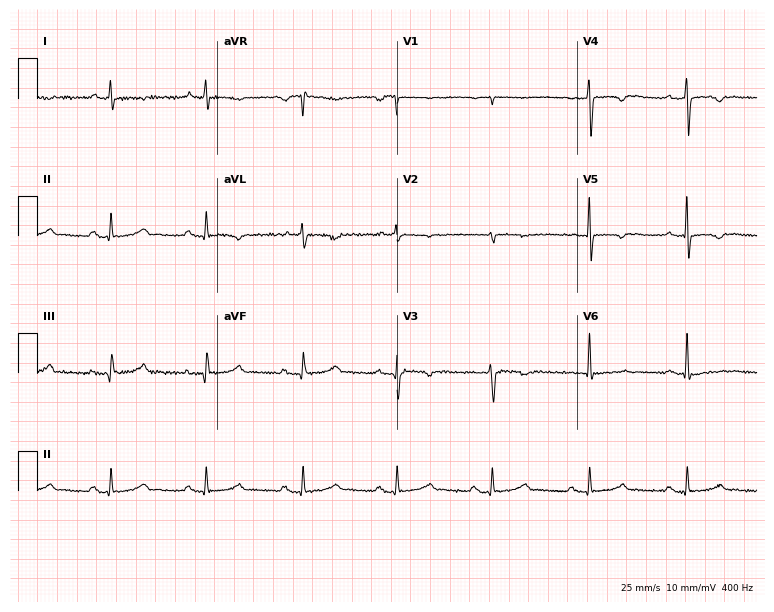
Electrocardiogram, a 66-year-old female patient. Of the six screened findings (first-degree AV block, right bundle branch block (RBBB), left bundle branch block (LBBB), sinus bradycardia, atrial fibrillation (AF), sinus tachycardia), none is recorded.